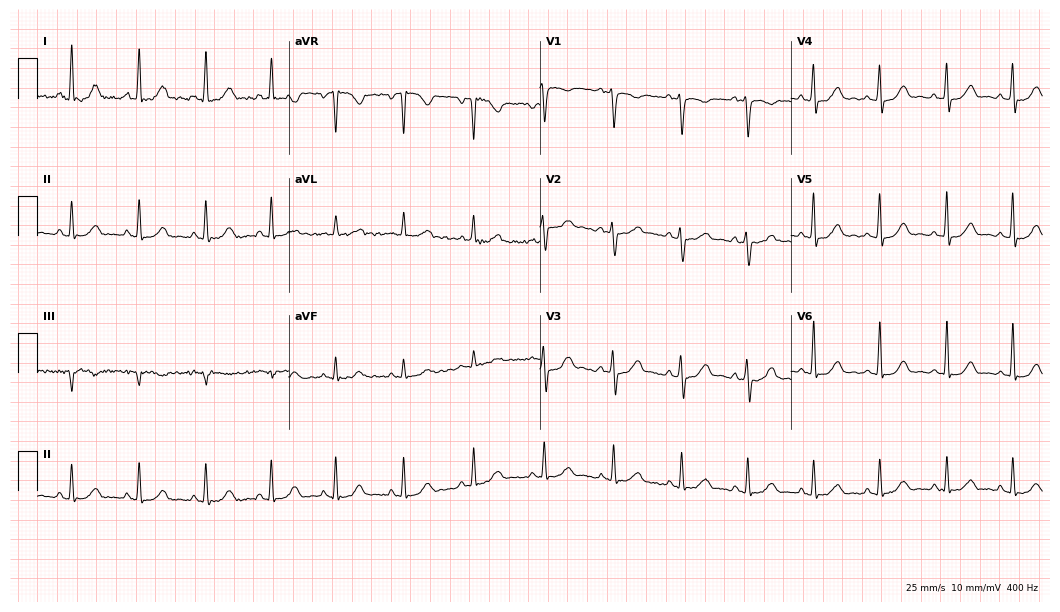
12-lead ECG from a 41-year-old female patient. Screened for six findings — first-degree AV block, right bundle branch block, left bundle branch block, sinus bradycardia, atrial fibrillation, sinus tachycardia — none is recorded.